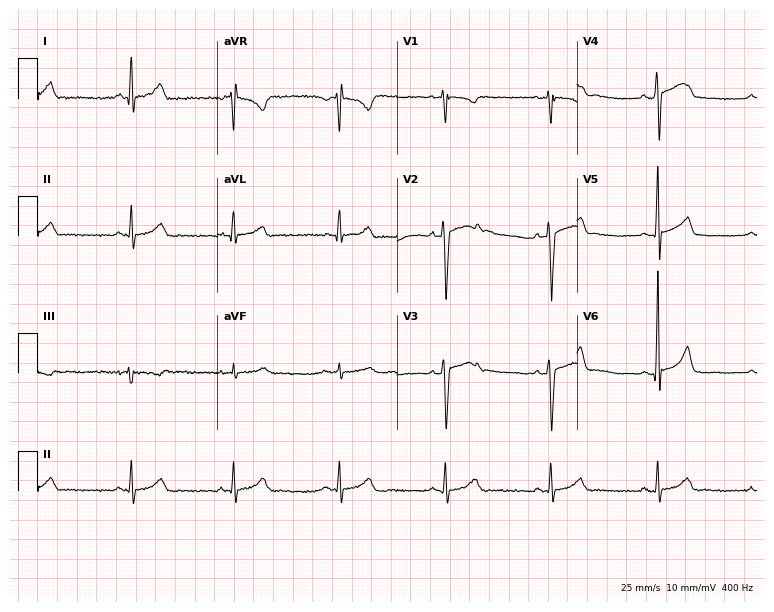
Standard 12-lead ECG recorded from a 17-year-old man (7.3-second recording at 400 Hz). Read as a normal ECG.